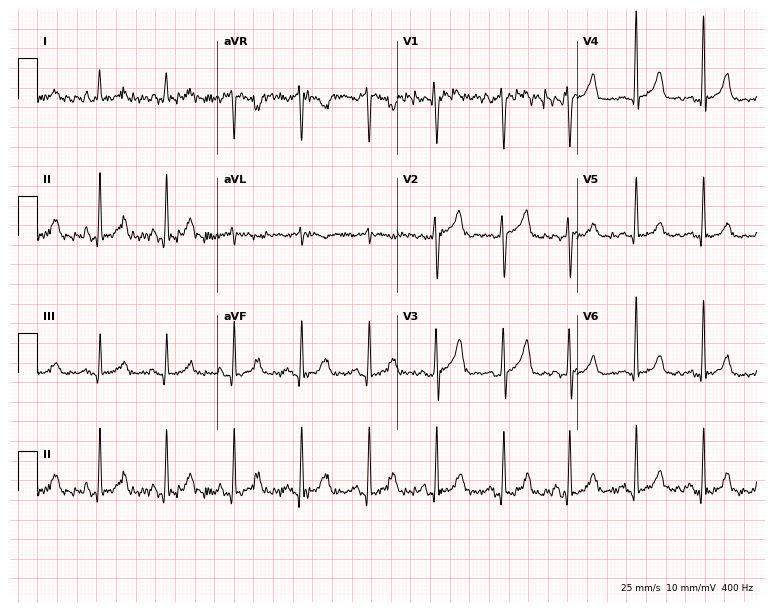
12-lead ECG from a 47-year-old male. Screened for six findings — first-degree AV block, right bundle branch block (RBBB), left bundle branch block (LBBB), sinus bradycardia, atrial fibrillation (AF), sinus tachycardia — none is recorded.